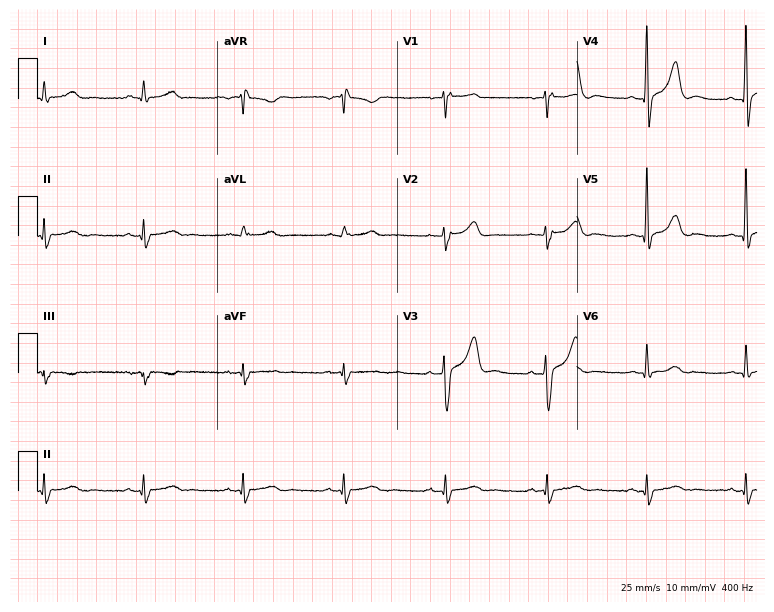
ECG (7.3-second recording at 400 Hz) — a male, 60 years old. Screened for six findings — first-degree AV block, right bundle branch block, left bundle branch block, sinus bradycardia, atrial fibrillation, sinus tachycardia — none is recorded.